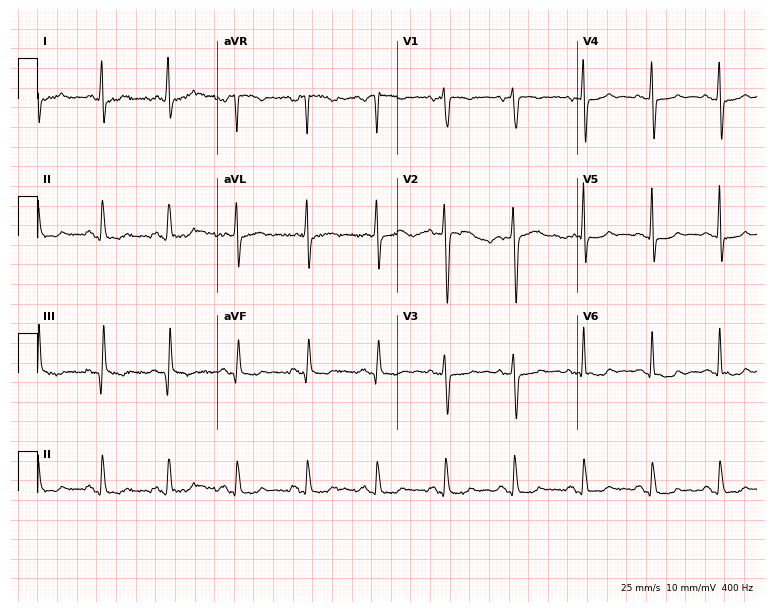
ECG — a woman, 50 years old. Screened for six findings — first-degree AV block, right bundle branch block, left bundle branch block, sinus bradycardia, atrial fibrillation, sinus tachycardia — none is recorded.